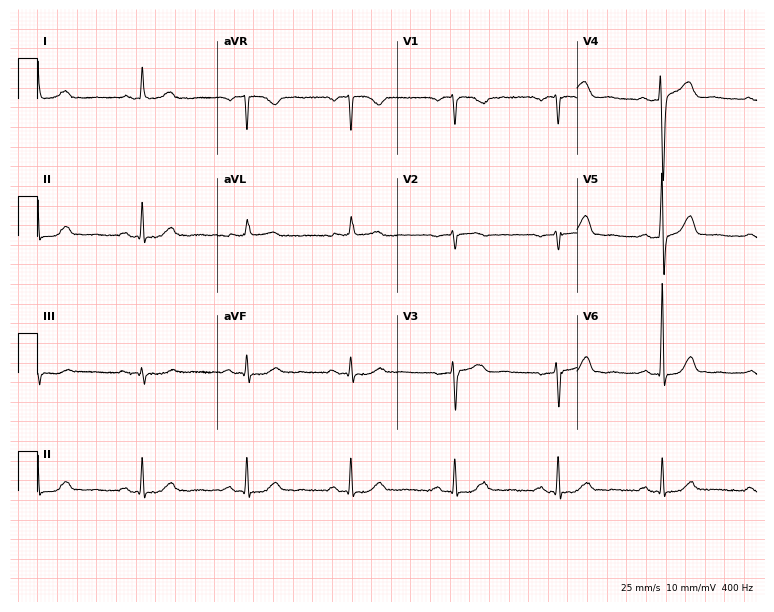
ECG — a woman, 71 years old. Screened for six findings — first-degree AV block, right bundle branch block, left bundle branch block, sinus bradycardia, atrial fibrillation, sinus tachycardia — none is recorded.